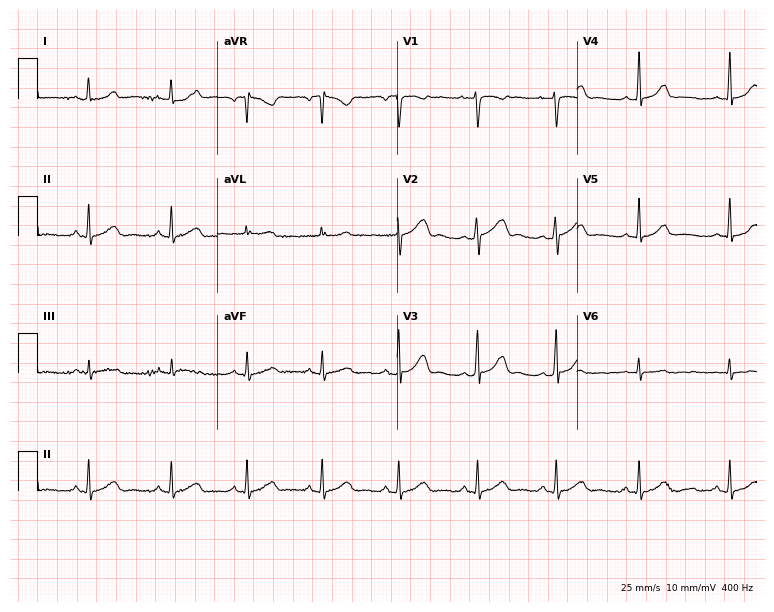
12-lead ECG from a 23-year-old female. Labelled as a normal ECG.